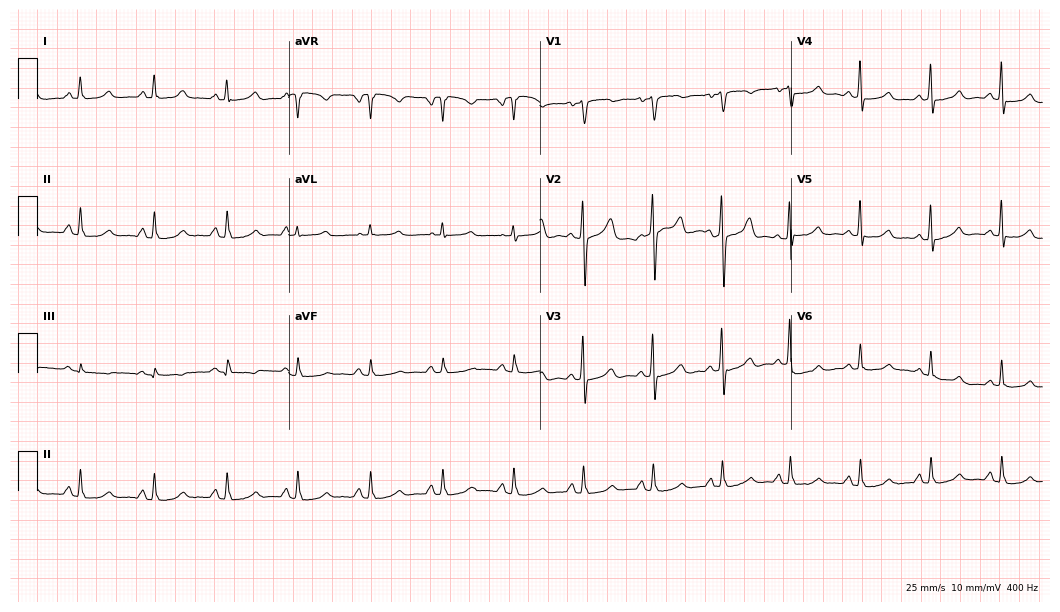
Resting 12-lead electrocardiogram. Patient: a 38-year-old female. Read as a normal ECG.